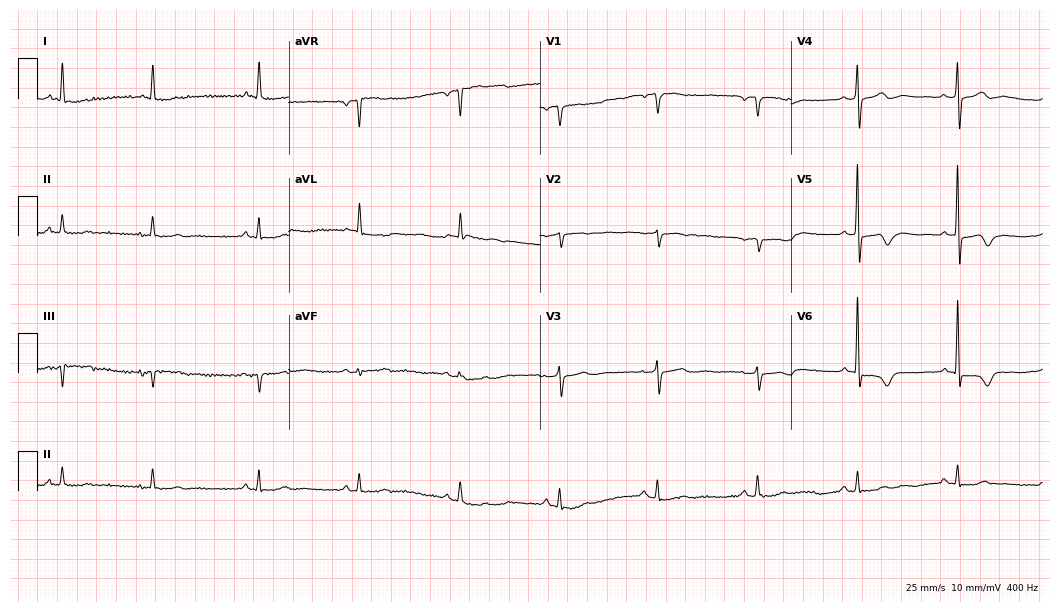
Electrocardiogram, a woman, 82 years old. Of the six screened findings (first-degree AV block, right bundle branch block, left bundle branch block, sinus bradycardia, atrial fibrillation, sinus tachycardia), none is recorded.